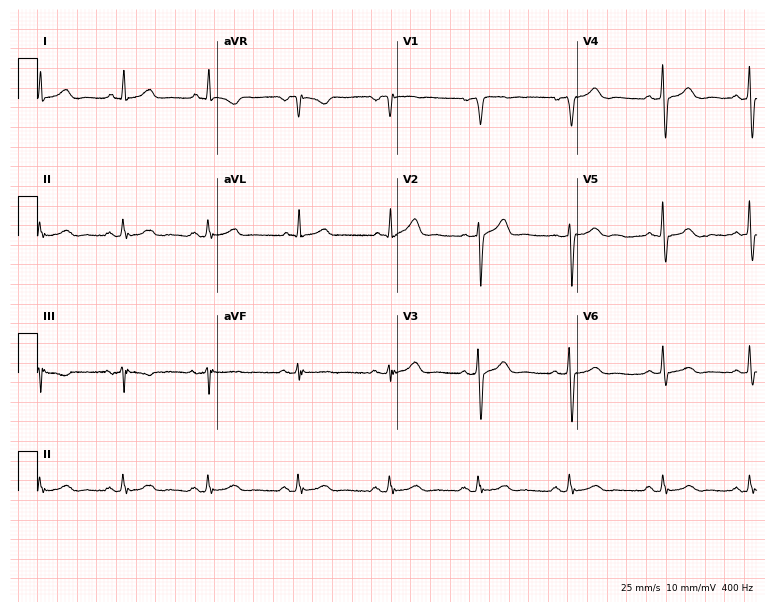
Electrocardiogram (7.3-second recording at 400 Hz), a 55-year-old male. Of the six screened findings (first-degree AV block, right bundle branch block, left bundle branch block, sinus bradycardia, atrial fibrillation, sinus tachycardia), none is recorded.